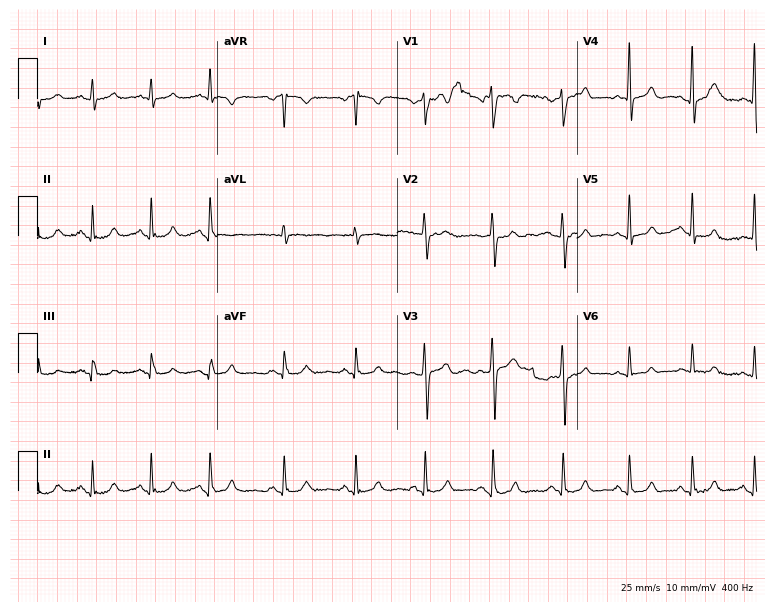
Resting 12-lead electrocardiogram (7.3-second recording at 400 Hz). Patient: a man, 44 years old. None of these six findings is recorded: first-degree AV block, right bundle branch block, left bundle branch block, sinus bradycardia, atrial fibrillation, sinus tachycardia.